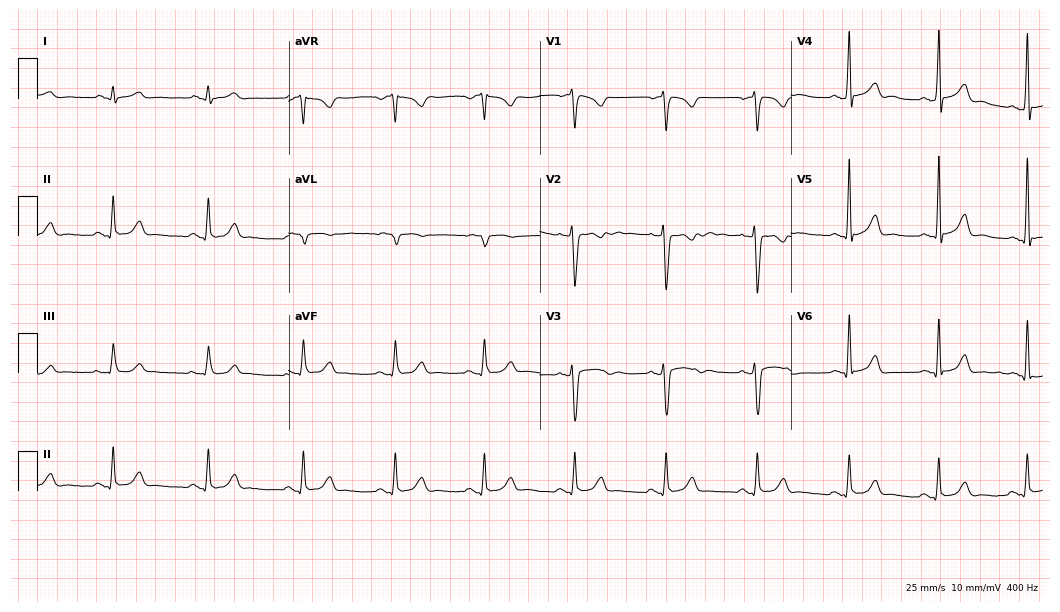
ECG (10.2-second recording at 400 Hz) — a 30-year-old female patient. Screened for six findings — first-degree AV block, right bundle branch block, left bundle branch block, sinus bradycardia, atrial fibrillation, sinus tachycardia — none is recorded. Only these six findings were labelled.